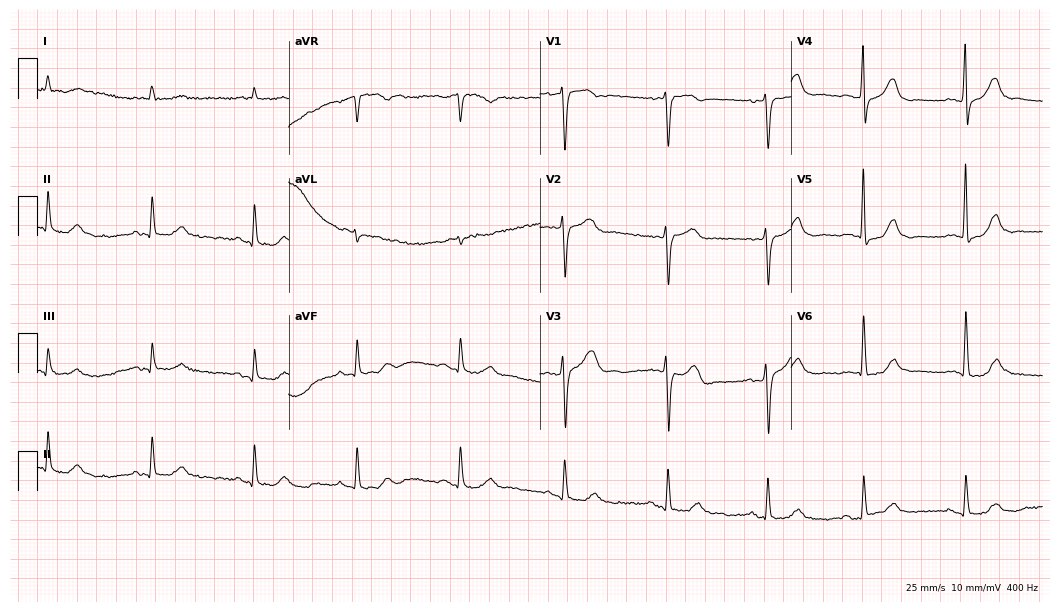
Resting 12-lead electrocardiogram. Patient: a male, 68 years old. None of these six findings is recorded: first-degree AV block, right bundle branch block, left bundle branch block, sinus bradycardia, atrial fibrillation, sinus tachycardia.